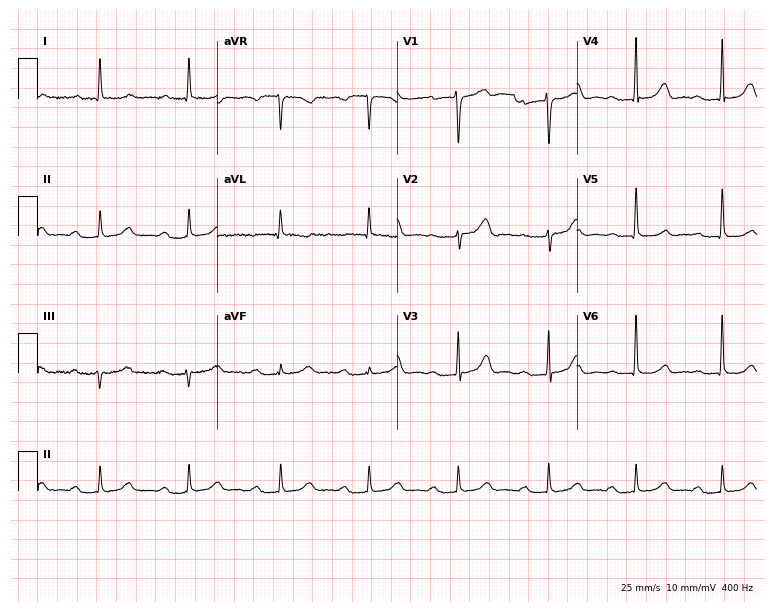
Standard 12-lead ECG recorded from a 70-year-old female patient (7.3-second recording at 400 Hz). The tracing shows first-degree AV block.